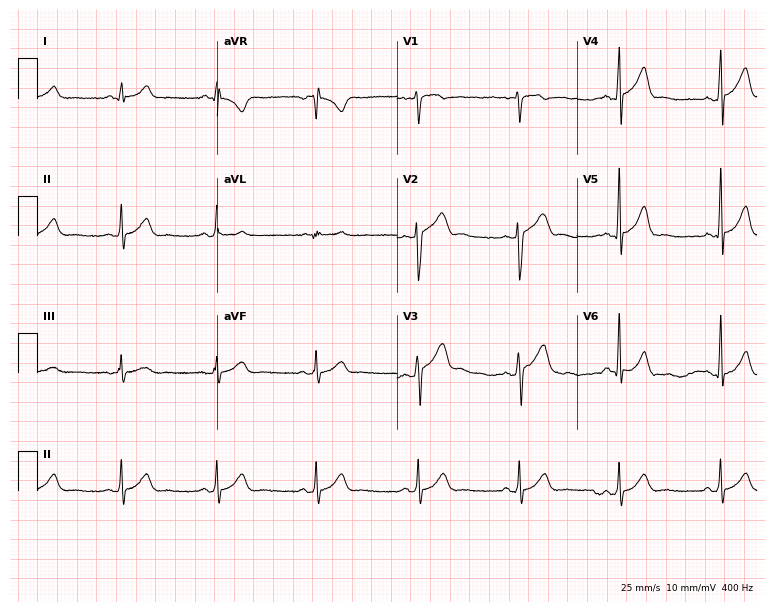
12-lead ECG from a 26-year-old male. Labelled as a normal ECG.